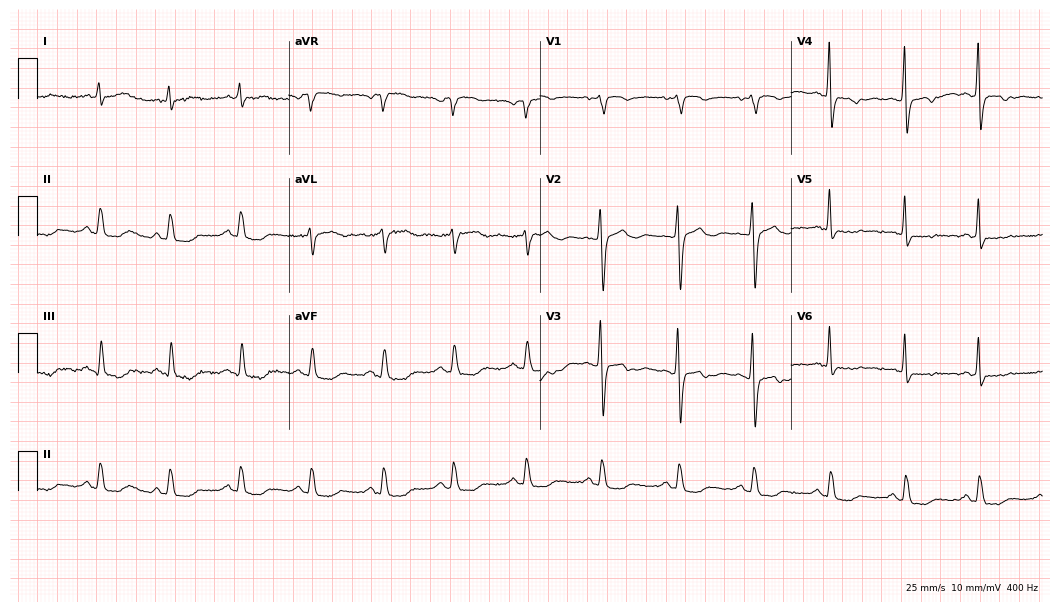
Standard 12-lead ECG recorded from a male, 66 years old. None of these six findings is recorded: first-degree AV block, right bundle branch block (RBBB), left bundle branch block (LBBB), sinus bradycardia, atrial fibrillation (AF), sinus tachycardia.